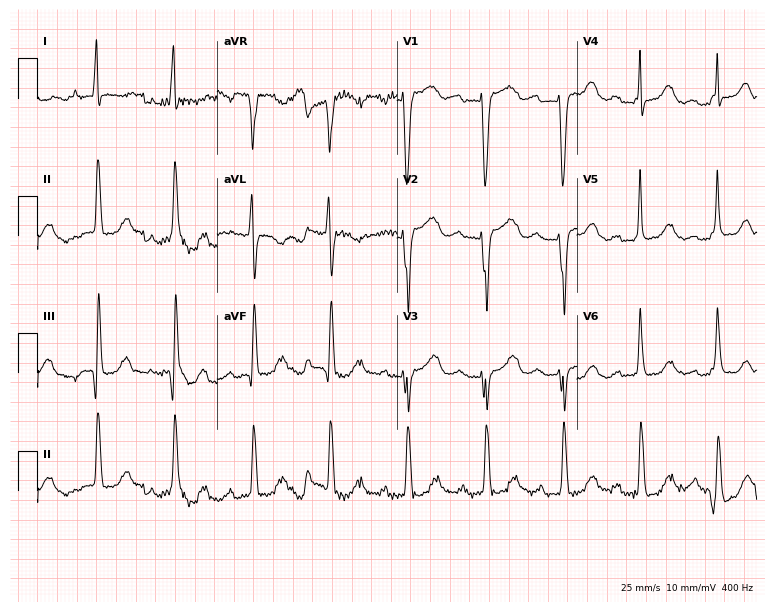
Standard 12-lead ECG recorded from a woman, 59 years old. None of these six findings is recorded: first-degree AV block, right bundle branch block, left bundle branch block, sinus bradycardia, atrial fibrillation, sinus tachycardia.